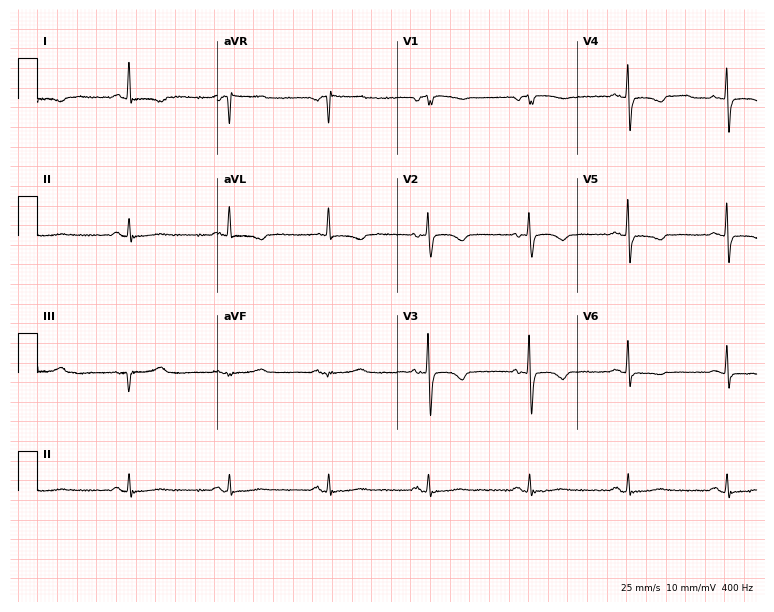
12-lead ECG from a female patient, 79 years old. No first-degree AV block, right bundle branch block (RBBB), left bundle branch block (LBBB), sinus bradycardia, atrial fibrillation (AF) or sinus tachycardia recorded for this tracing.